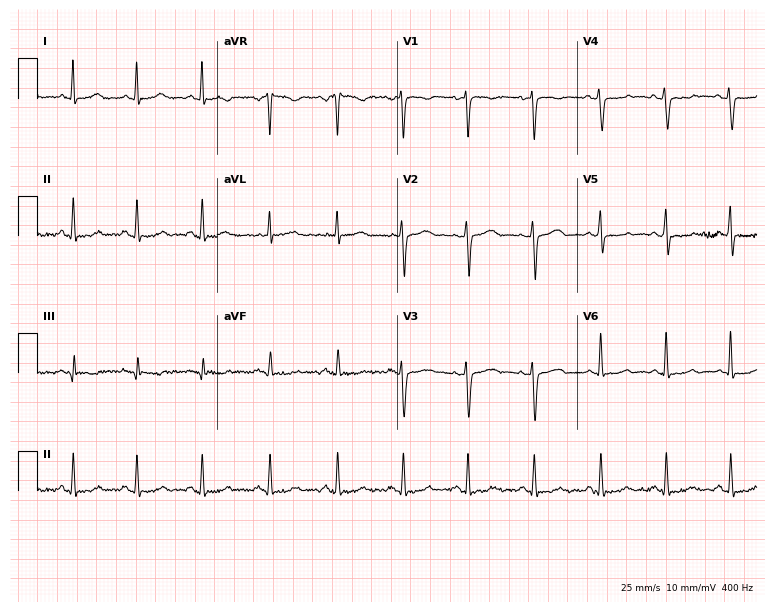
12-lead ECG from a 48-year-old female. Recorded interpretation: within normal limits.